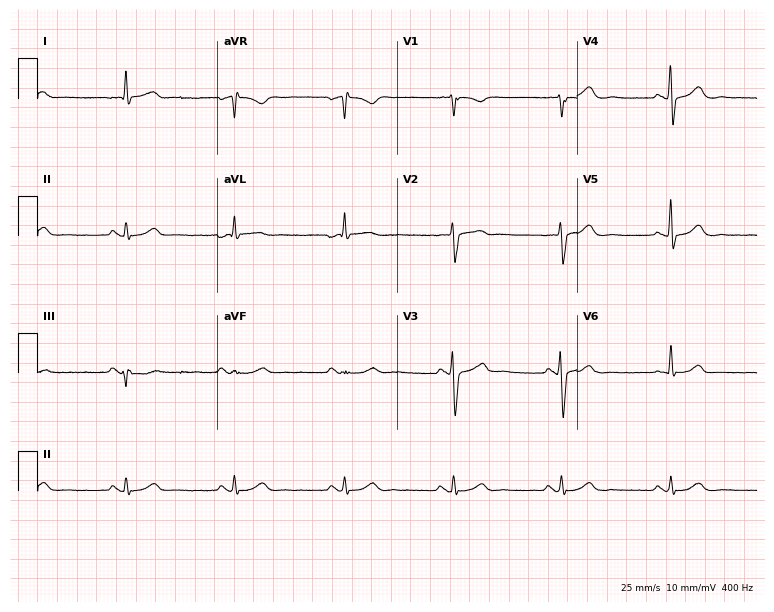
12-lead ECG from a 68-year-old male. Labelled as a normal ECG.